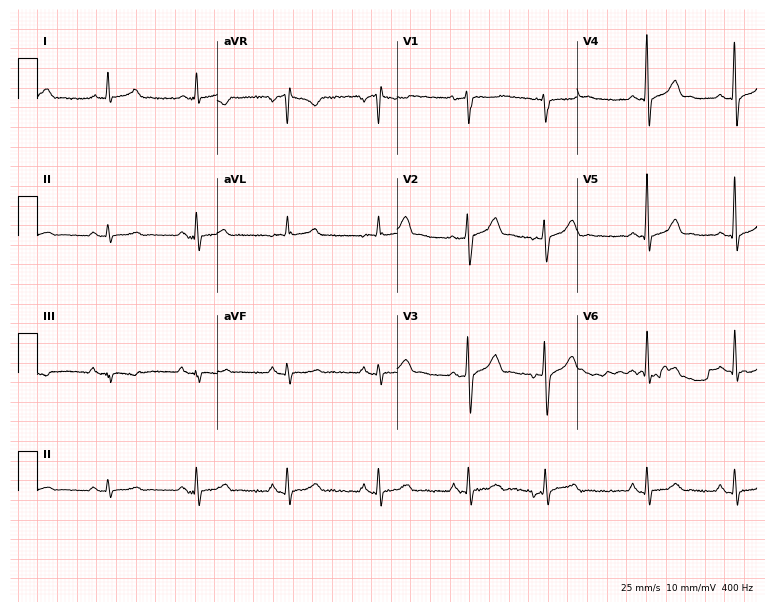
Resting 12-lead electrocardiogram. Patient: a 52-year-old male. None of these six findings is recorded: first-degree AV block, right bundle branch block, left bundle branch block, sinus bradycardia, atrial fibrillation, sinus tachycardia.